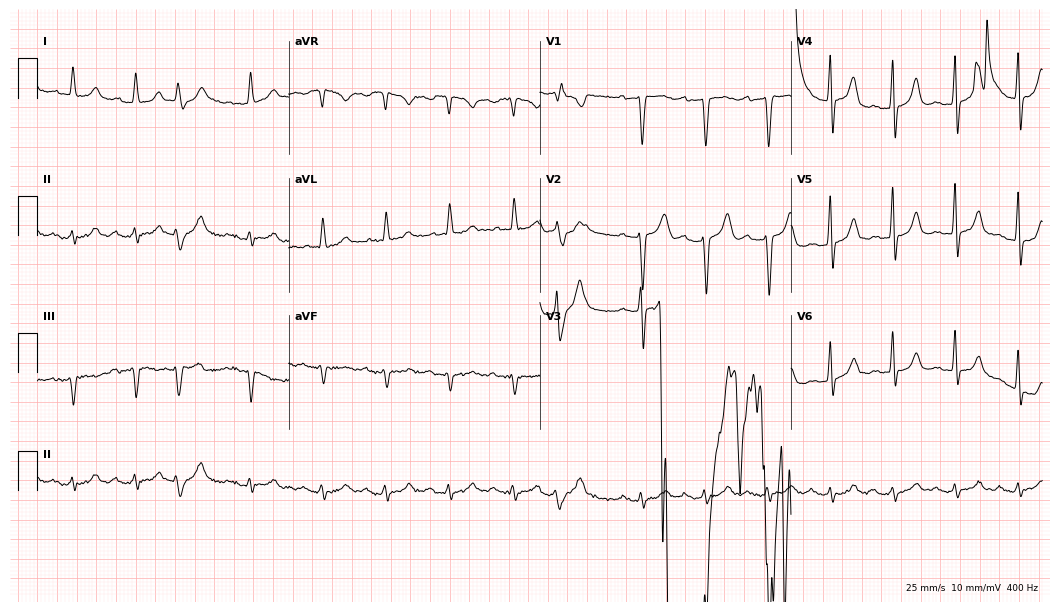
12-lead ECG from a male patient, 75 years old. Shows first-degree AV block.